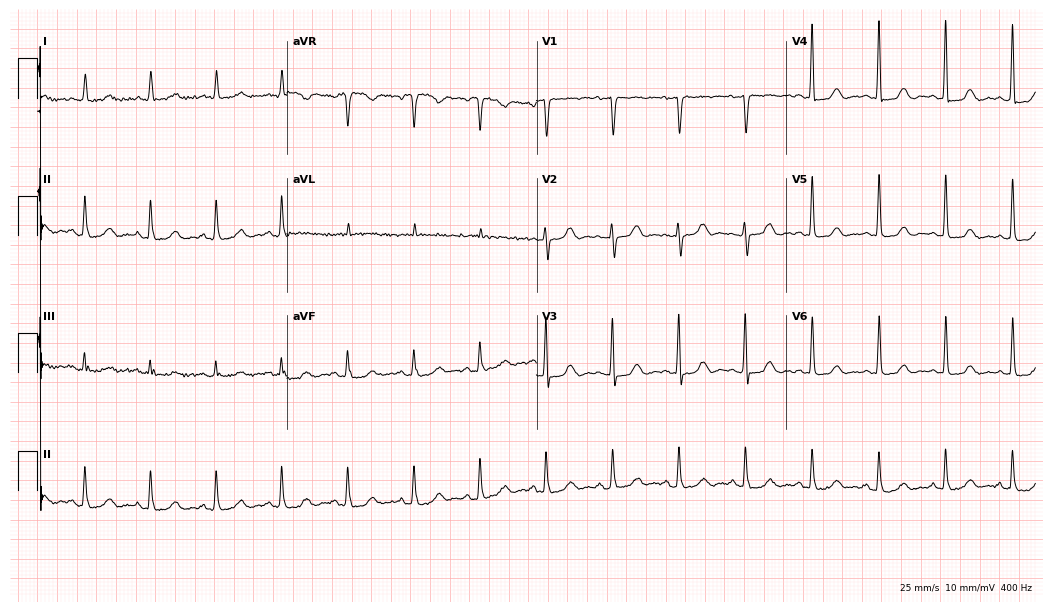
12-lead ECG from a 69-year-old female. Recorded interpretation: within normal limits.